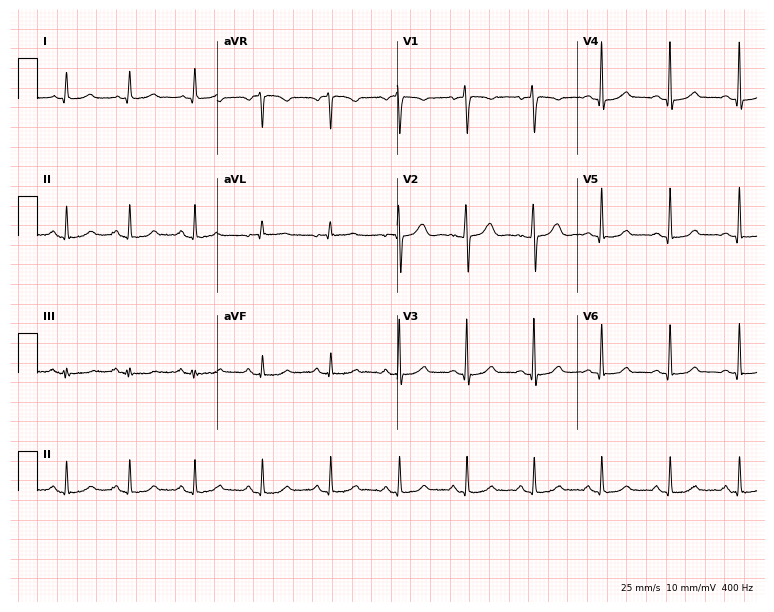
12-lead ECG from a woman, 40 years old. No first-degree AV block, right bundle branch block (RBBB), left bundle branch block (LBBB), sinus bradycardia, atrial fibrillation (AF) or sinus tachycardia recorded for this tracing. Findings outside these six are not listed.